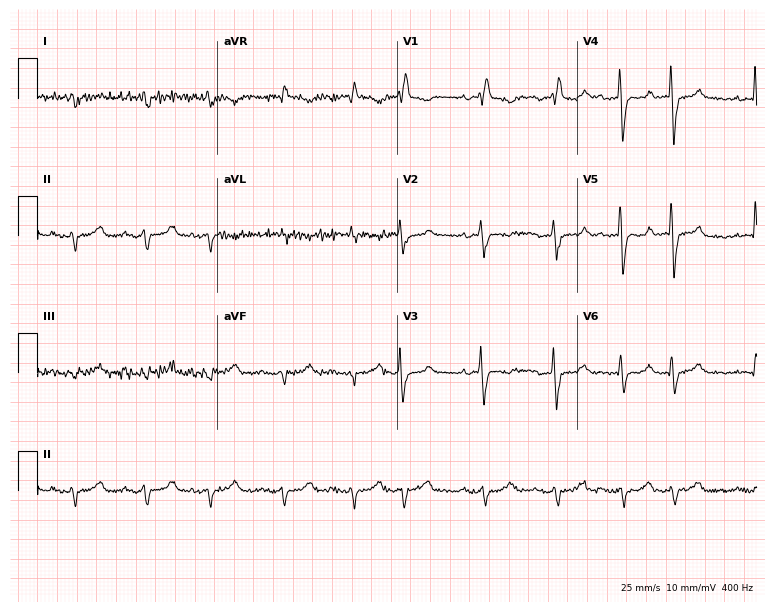
Resting 12-lead electrocardiogram (7.3-second recording at 400 Hz). Patient: a male, 69 years old. None of these six findings is recorded: first-degree AV block, right bundle branch block, left bundle branch block, sinus bradycardia, atrial fibrillation, sinus tachycardia.